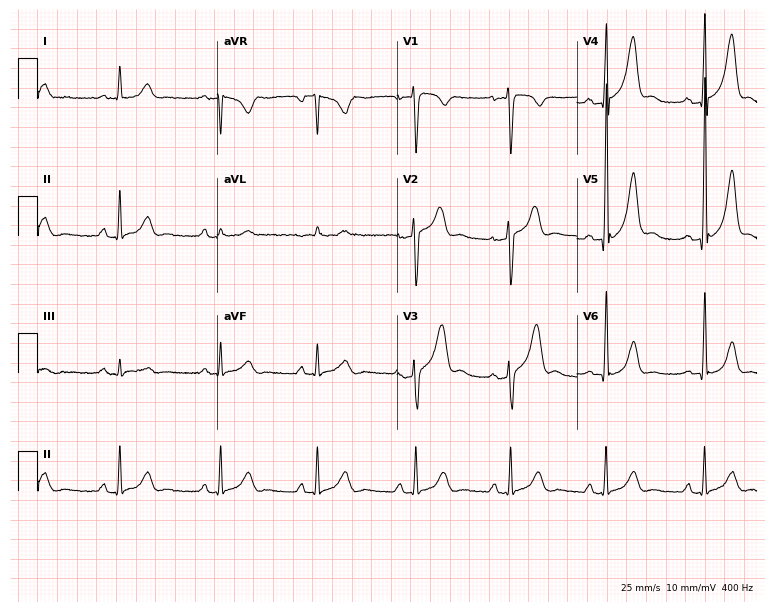
Standard 12-lead ECG recorded from a 31-year-old male (7.3-second recording at 400 Hz). Read as a normal ECG.